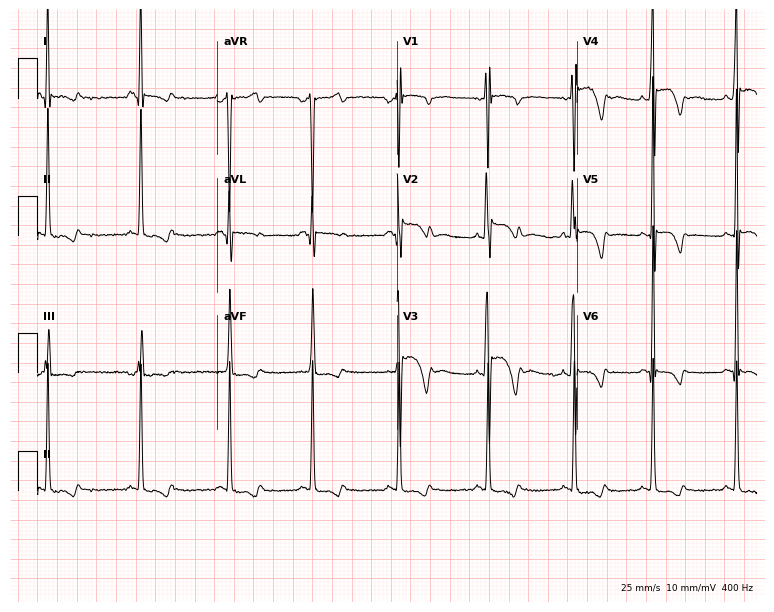
ECG — a female, 24 years old. Screened for six findings — first-degree AV block, right bundle branch block, left bundle branch block, sinus bradycardia, atrial fibrillation, sinus tachycardia — none is recorded. Findings outside these six are not listed.